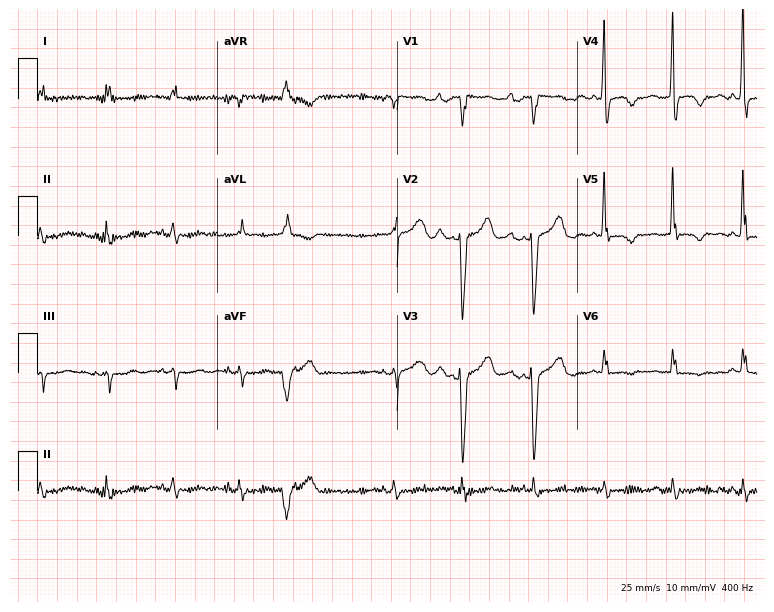
12-lead ECG from a male, 67 years old (7.3-second recording at 400 Hz). No first-degree AV block, right bundle branch block (RBBB), left bundle branch block (LBBB), sinus bradycardia, atrial fibrillation (AF) or sinus tachycardia recorded for this tracing. Findings outside these six are not listed.